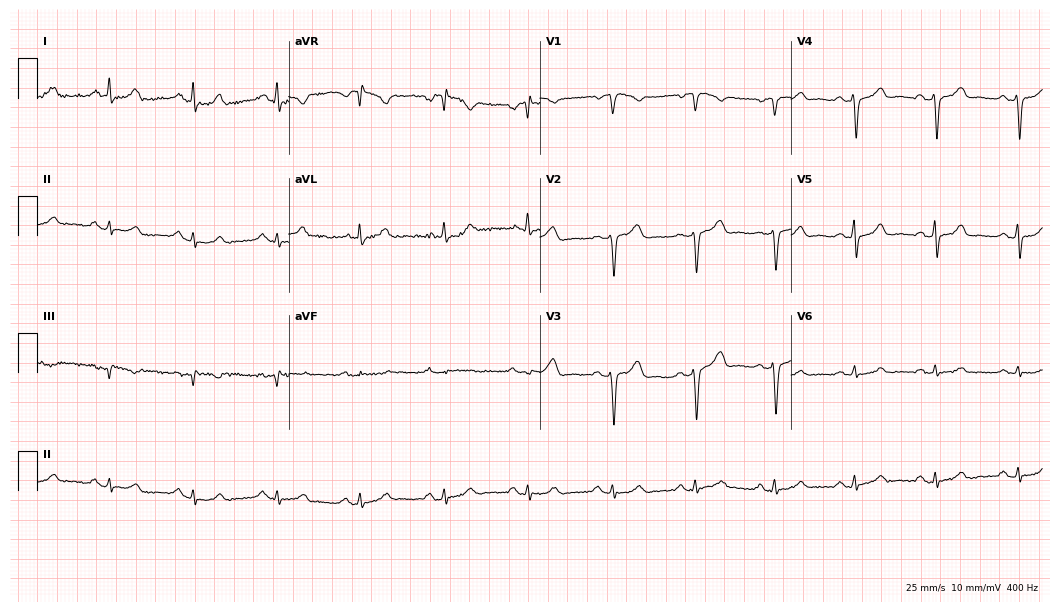
Resting 12-lead electrocardiogram. Patient: a woman, 60 years old. None of these six findings is recorded: first-degree AV block, right bundle branch block, left bundle branch block, sinus bradycardia, atrial fibrillation, sinus tachycardia. Only these six findings were labelled.